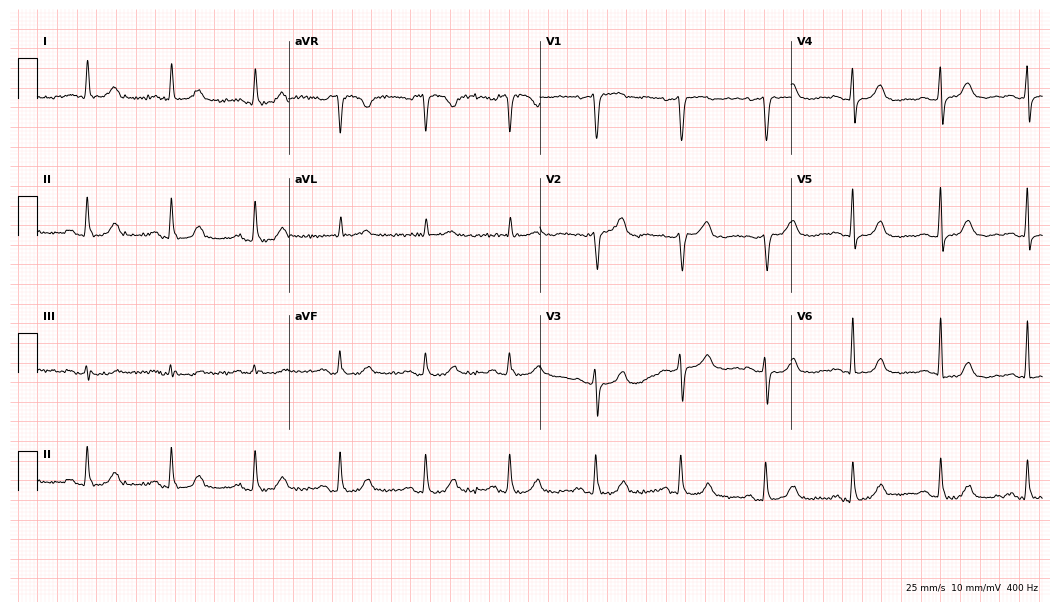
12-lead ECG from an 81-year-old woman. No first-degree AV block, right bundle branch block (RBBB), left bundle branch block (LBBB), sinus bradycardia, atrial fibrillation (AF) or sinus tachycardia recorded for this tracing. Findings outside these six are not listed.